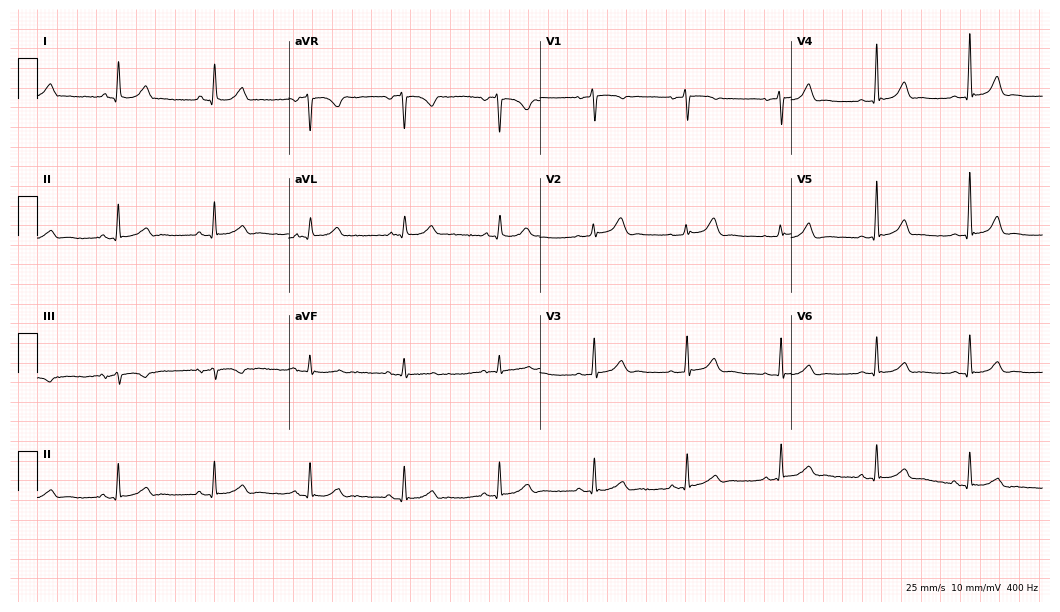
Standard 12-lead ECG recorded from a 49-year-old woman. None of these six findings is recorded: first-degree AV block, right bundle branch block, left bundle branch block, sinus bradycardia, atrial fibrillation, sinus tachycardia. Only these six findings were labelled.